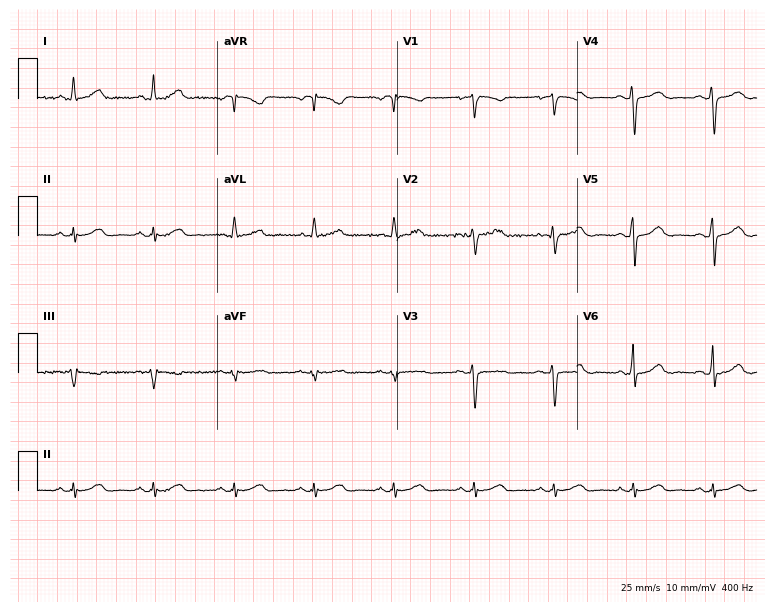
12-lead ECG from a female, 45 years old. Labelled as a normal ECG.